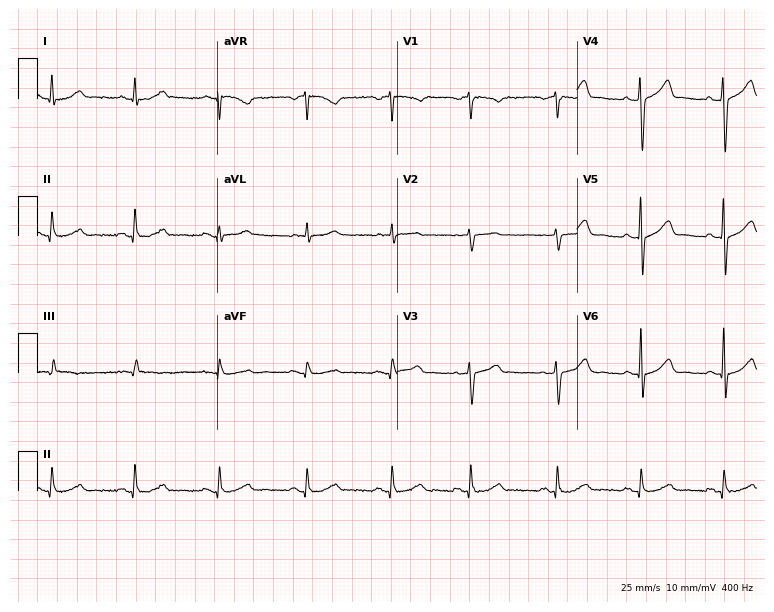
Electrocardiogram, a 58-year-old man. Overall reading on record: normal ECG.